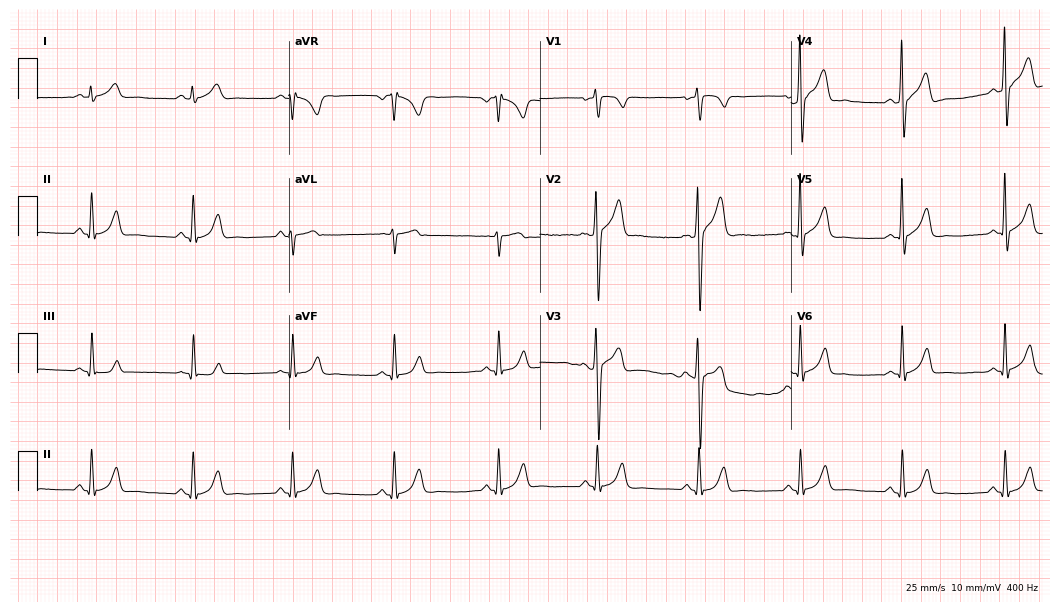
12-lead ECG from a male, 25 years old. Labelled as a normal ECG.